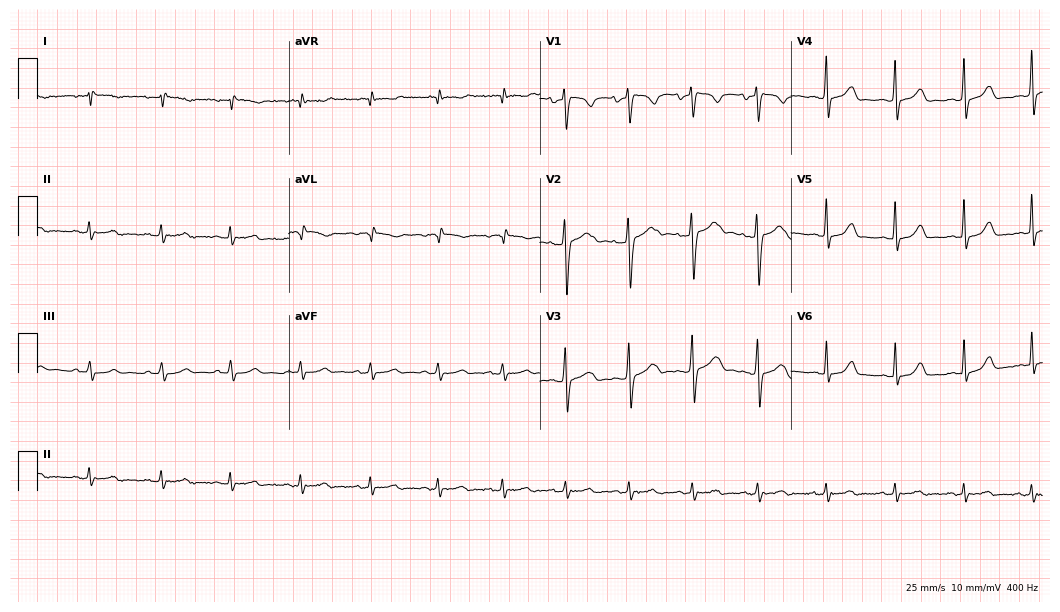
Standard 12-lead ECG recorded from a woman, 27 years old (10.2-second recording at 400 Hz). None of these six findings is recorded: first-degree AV block, right bundle branch block, left bundle branch block, sinus bradycardia, atrial fibrillation, sinus tachycardia. Findings outside these six are not listed.